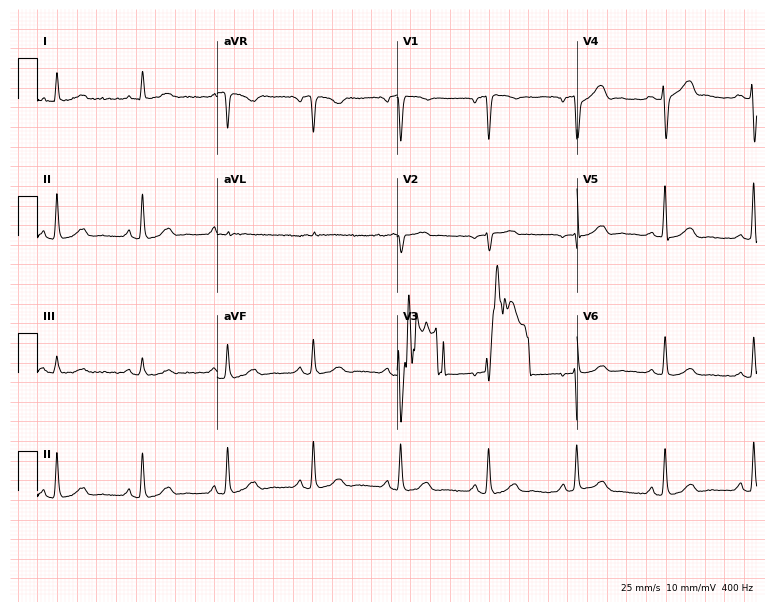
ECG (7.3-second recording at 400 Hz) — a 63-year-old male. Screened for six findings — first-degree AV block, right bundle branch block, left bundle branch block, sinus bradycardia, atrial fibrillation, sinus tachycardia — none is recorded. Findings outside these six are not listed.